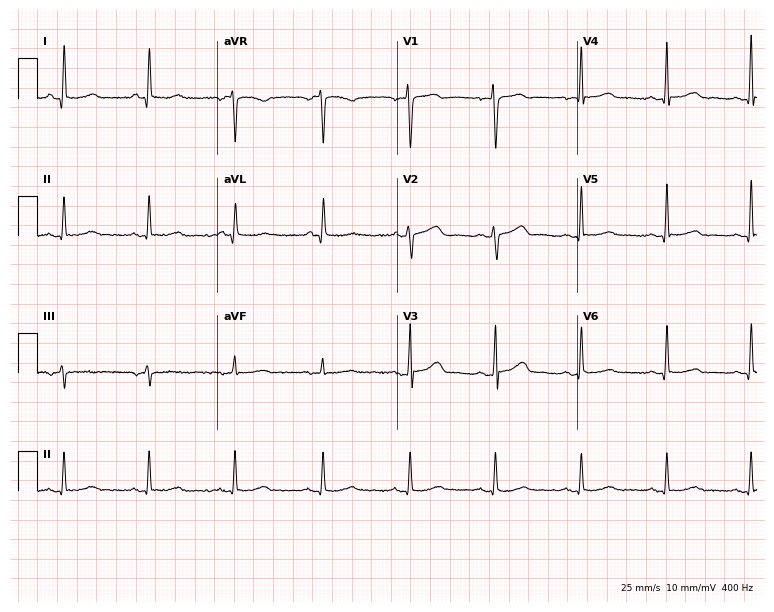
Resting 12-lead electrocardiogram (7.3-second recording at 400 Hz). Patient: a woman, 36 years old. Read as a normal ECG.